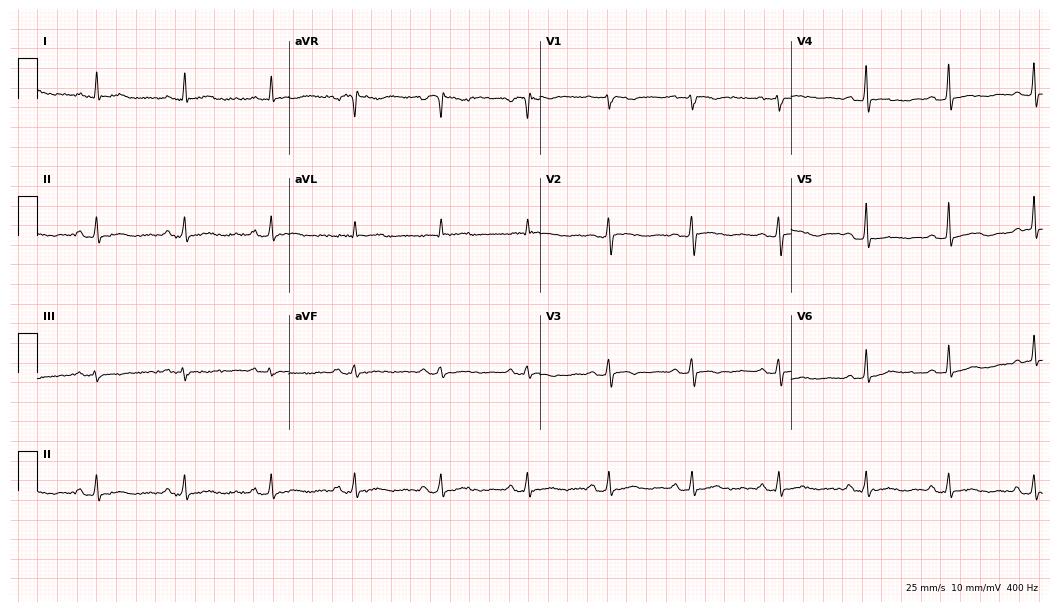
Standard 12-lead ECG recorded from a woman, 63 years old. None of these six findings is recorded: first-degree AV block, right bundle branch block, left bundle branch block, sinus bradycardia, atrial fibrillation, sinus tachycardia. Only these six findings were labelled.